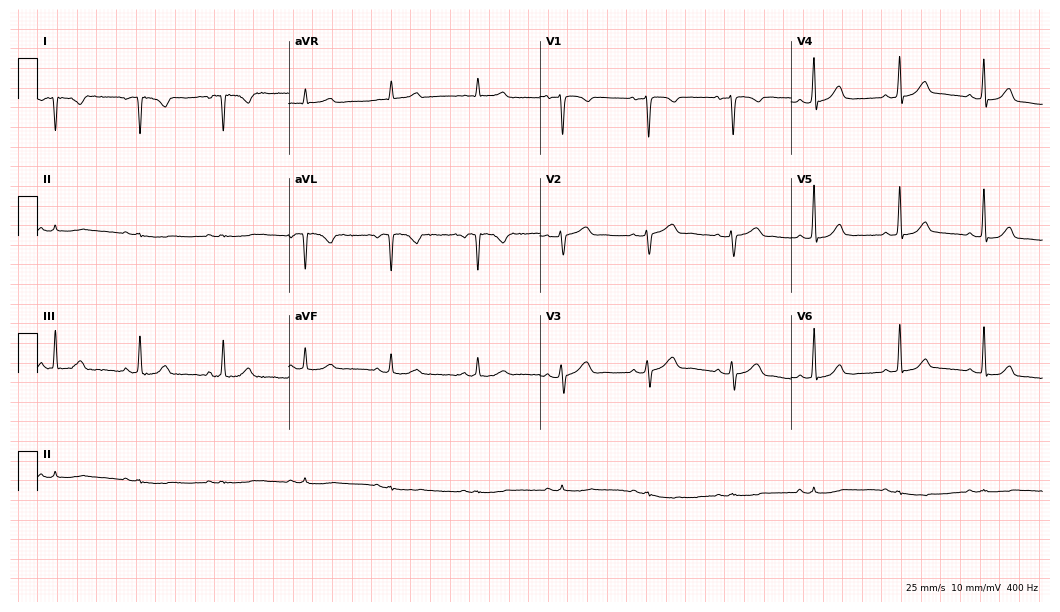
ECG (10.2-second recording at 400 Hz) — a 40-year-old female. Screened for six findings — first-degree AV block, right bundle branch block (RBBB), left bundle branch block (LBBB), sinus bradycardia, atrial fibrillation (AF), sinus tachycardia — none is recorded. Other findings, if any, are not listed.